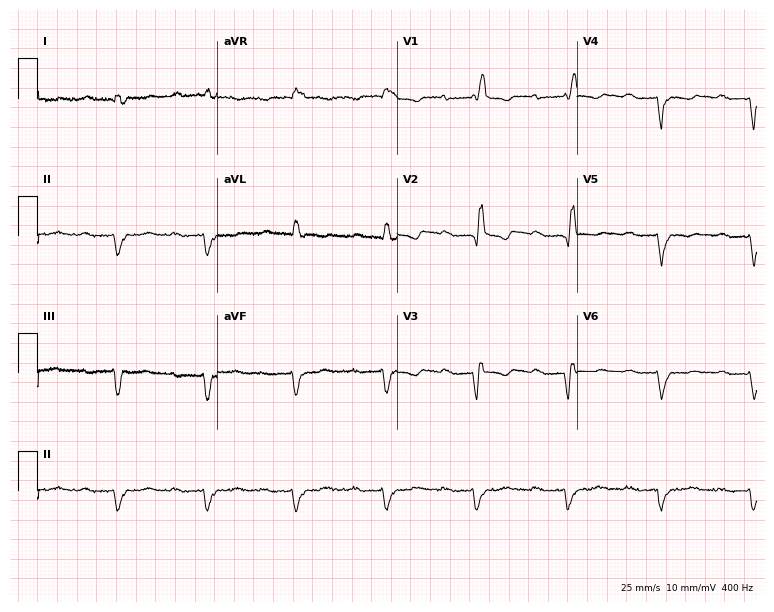
Standard 12-lead ECG recorded from a 76-year-old man (7.3-second recording at 400 Hz). The tracing shows first-degree AV block, right bundle branch block (RBBB).